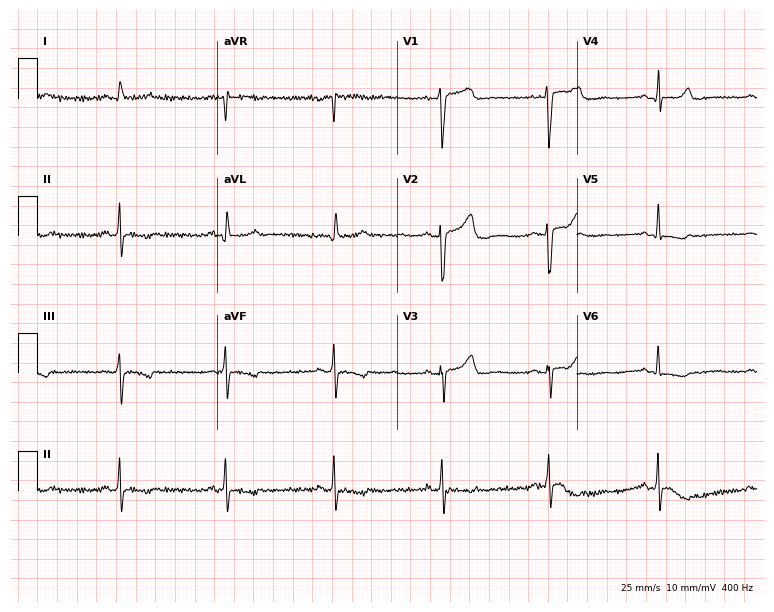
Resting 12-lead electrocardiogram (7.3-second recording at 400 Hz). Patient: a male, 60 years old. None of these six findings is recorded: first-degree AV block, right bundle branch block, left bundle branch block, sinus bradycardia, atrial fibrillation, sinus tachycardia. Other findings, if any, are not listed.